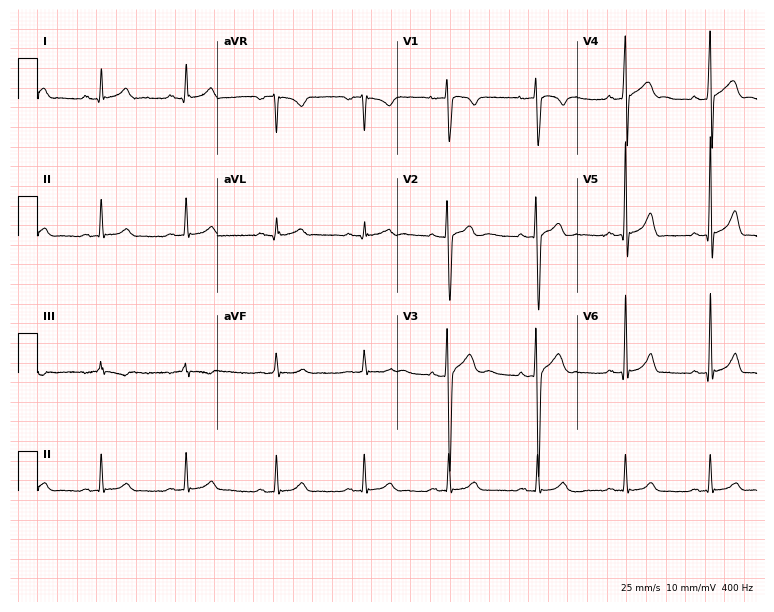
12-lead ECG from a 20-year-old man. Recorded interpretation: within normal limits.